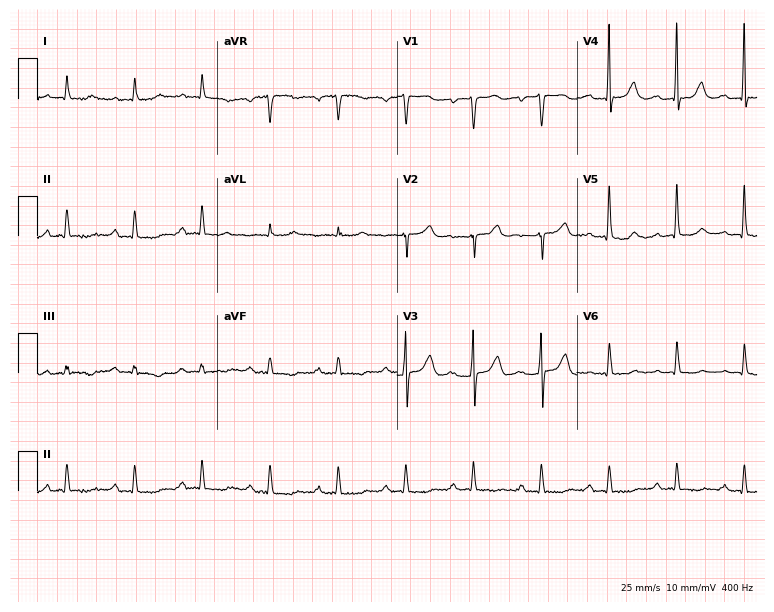
12-lead ECG from a male patient, 82 years old. Findings include first-degree AV block.